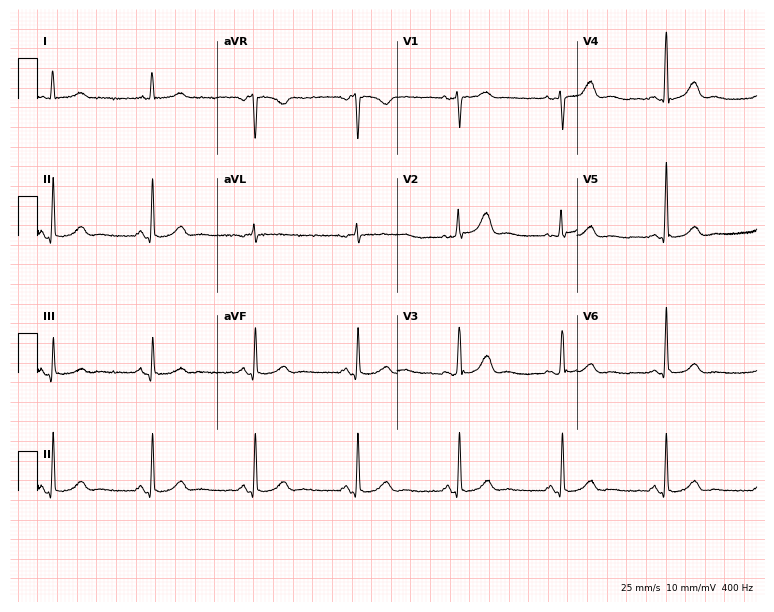
Electrocardiogram, a 57-year-old female patient. Overall reading on record: normal ECG.